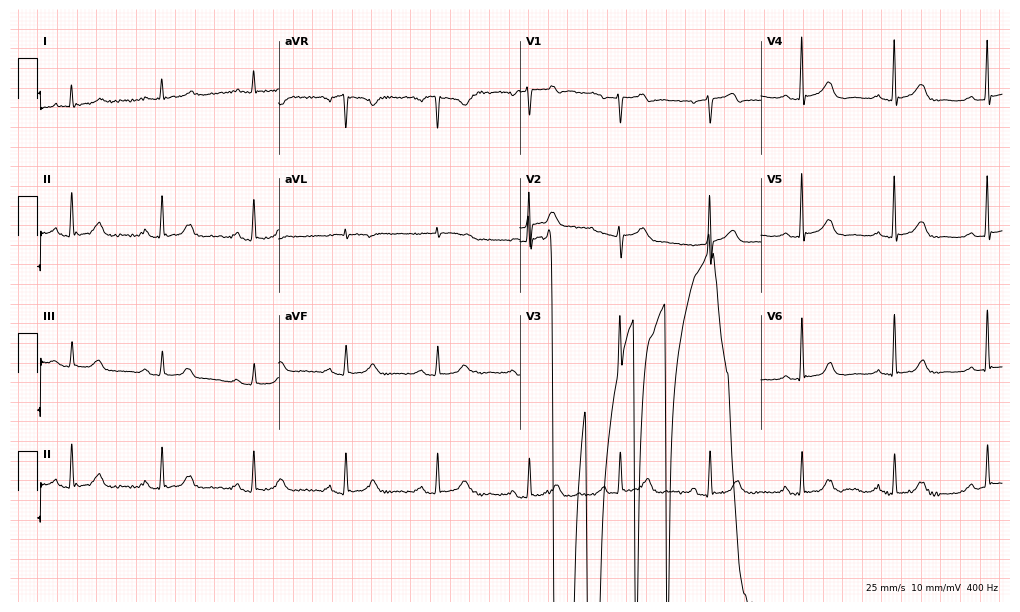
ECG (9.8-second recording at 400 Hz) — a female, 67 years old. Labelled as a normal ECG.